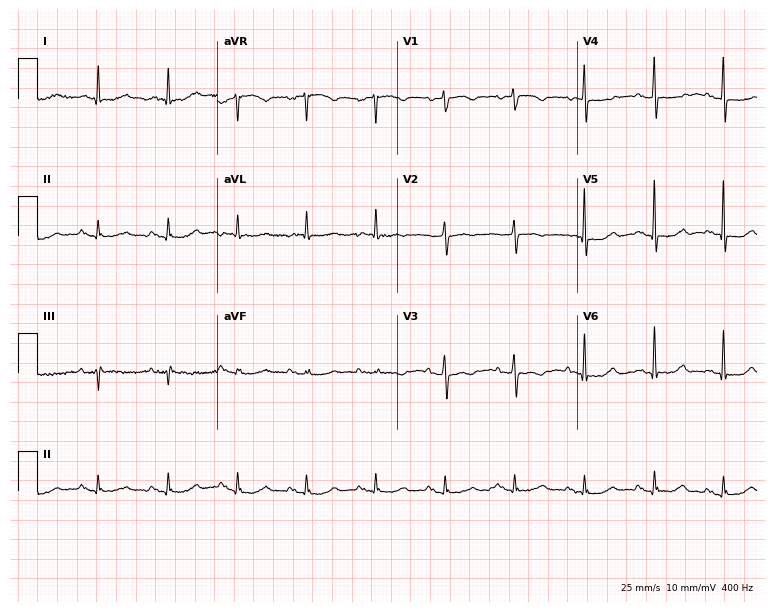
12-lead ECG from an 83-year-old woman. No first-degree AV block, right bundle branch block (RBBB), left bundle branch block (LBBB), sinus bradycardia, atrial fibrillation (AF) or sinus tachycardia recorded for this tracing.